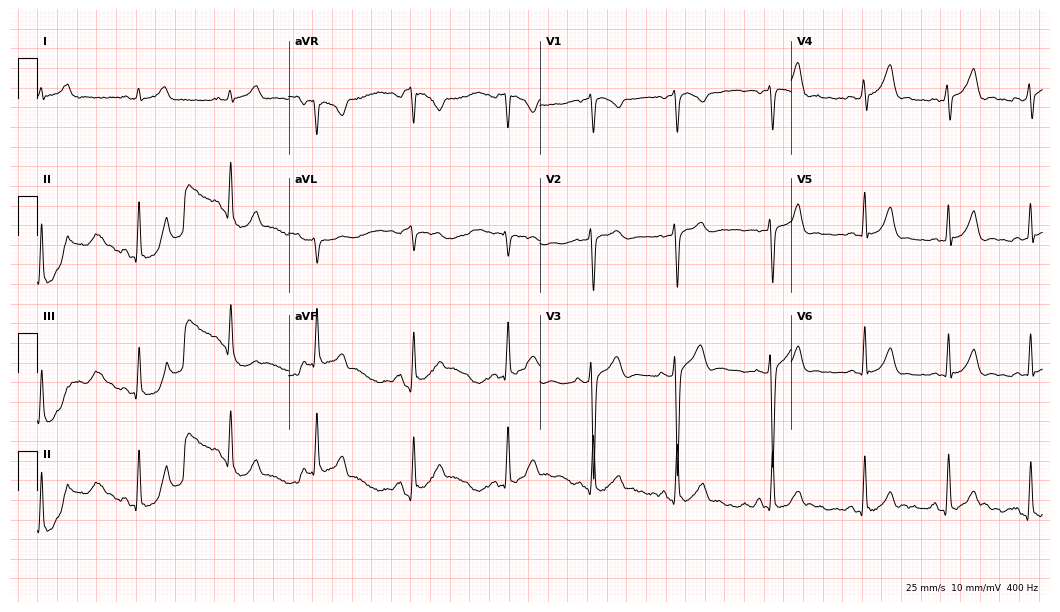
12-lead ECG from a male patient, 18 years old. Labelled as a normal ECG.